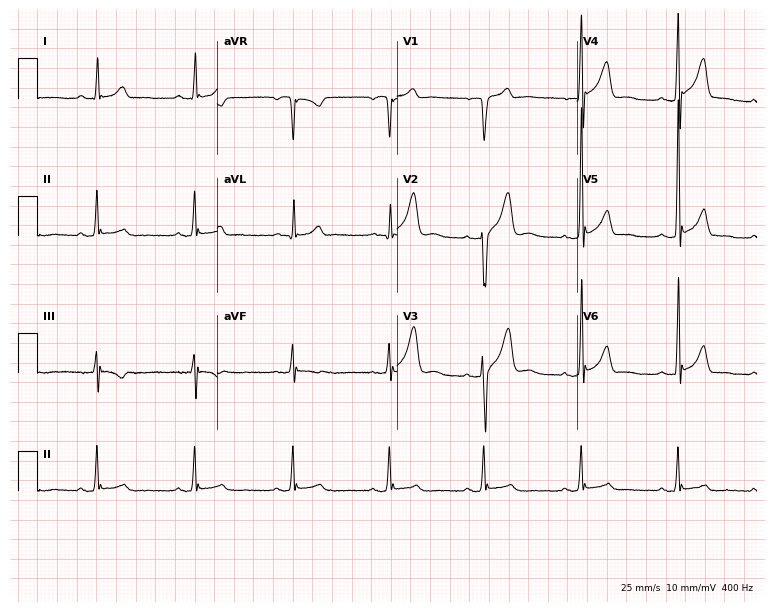
12-lead ECG from a male patient, 43 years old. Screened for six findings — first-degree AV block, right bundle branch block, left bundle branch block, sinus bradycardia, atrial fibrillation, sinus tachycardia — none is recorded. Only these six findings were labelled.